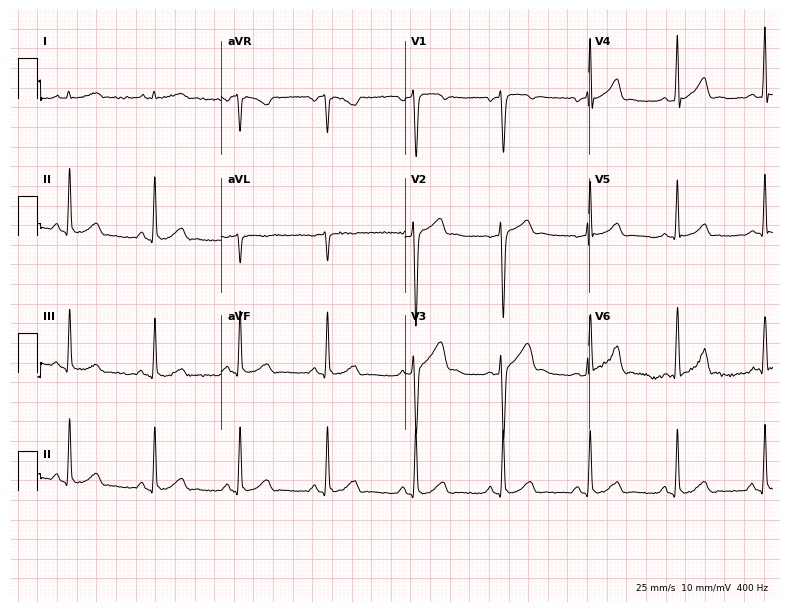
12-lead ECG from a male patient, 31 years old (7.5-second recording at 400 Hz). No first-degree AV block, right bundle branch block, left bundle branch block, sinus bradycardia, atrial fibrillation or sinus tachycardia recorded for this tracing. Other findings, if any, are not listed.